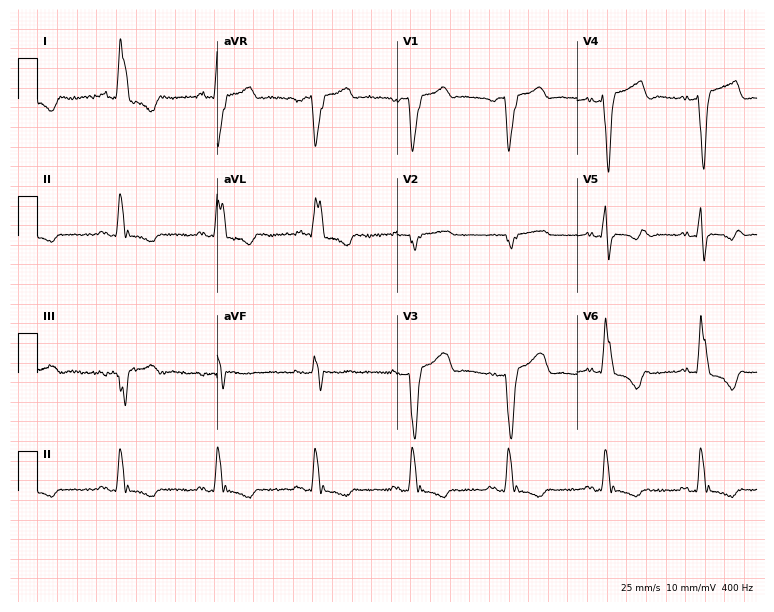
12-lead ECG from a 65-year-old woman. Shows left bundle branch block.